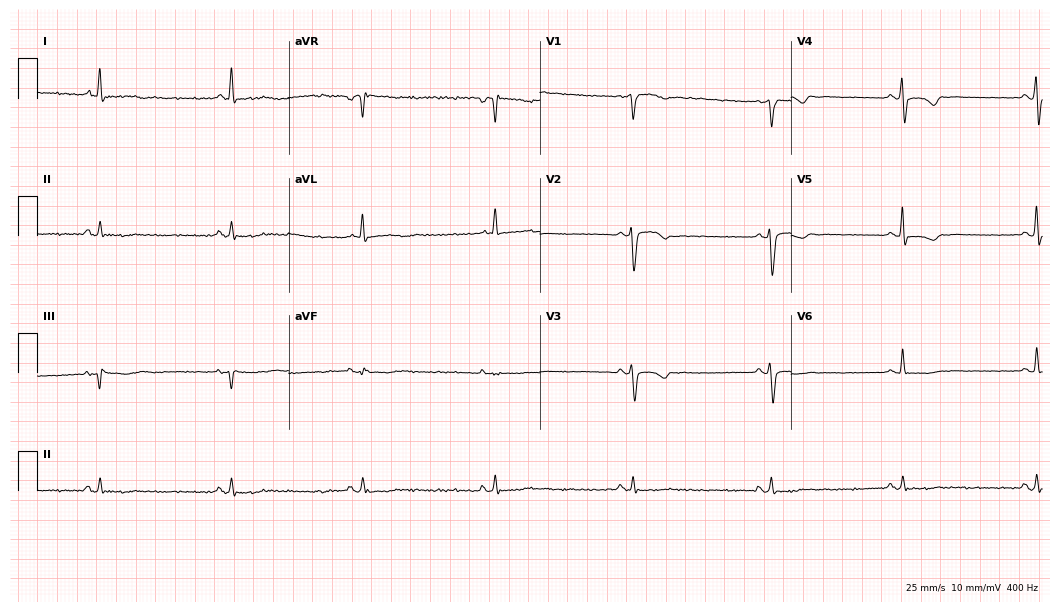
Electrocardiogram, a 53-year-old woman. Interpretation includes sinus bradycardia (a sinus rate of 50 beats per minute or less).